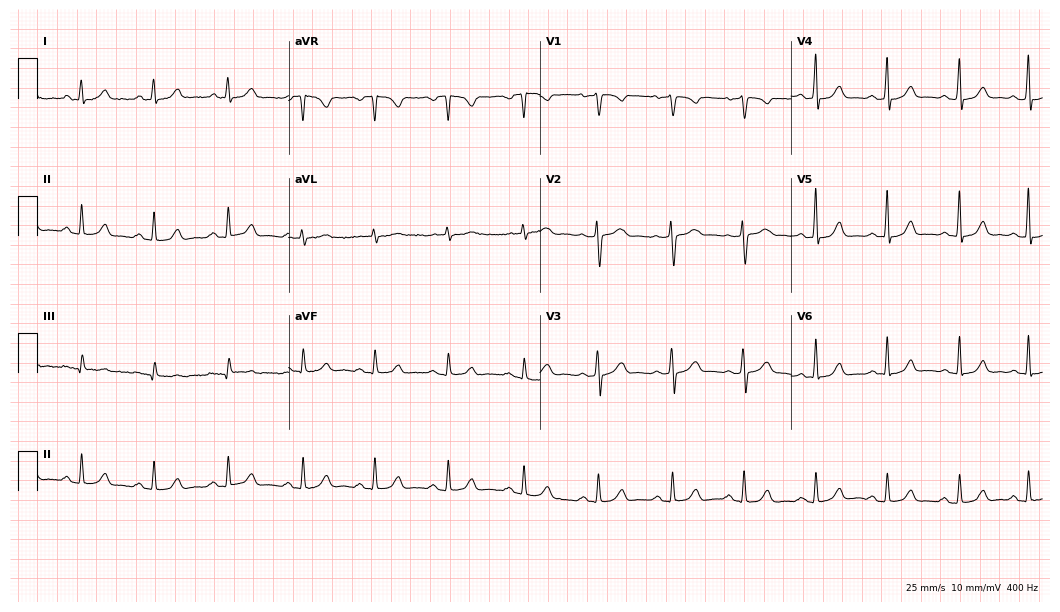
Resting 12-lead electrocardiogram (10.2-second recording at 400 Hz). Patient: a 44-year-old female. None of these six findings is recorded: first-degree AV block, right bundle branch block, left bundle branch block, sinus bradycardia, atrial fibrillation, sinus tachycardia. Other findings, if any, are not listed.